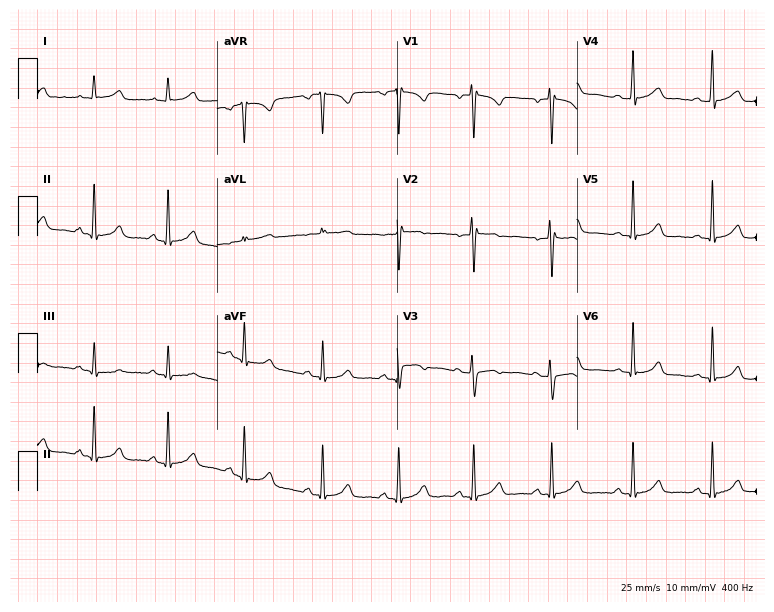
12-lead ECG from a female patient, 33 years old. Screened for six findings — first-degree AV block, right bundle branch block, left bundle branch block, sinus bradycardia, atrial fibrillation, sinus tachycardia — none is recorded.